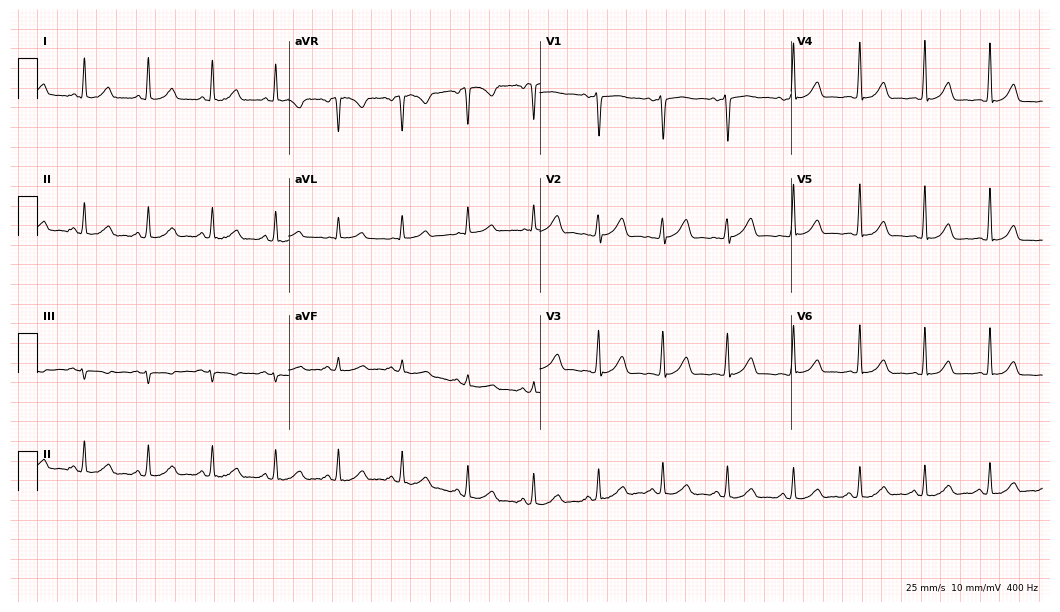
Standard 12-lead ECG recorded from a 48-year-old female. Read as a normal ECG.